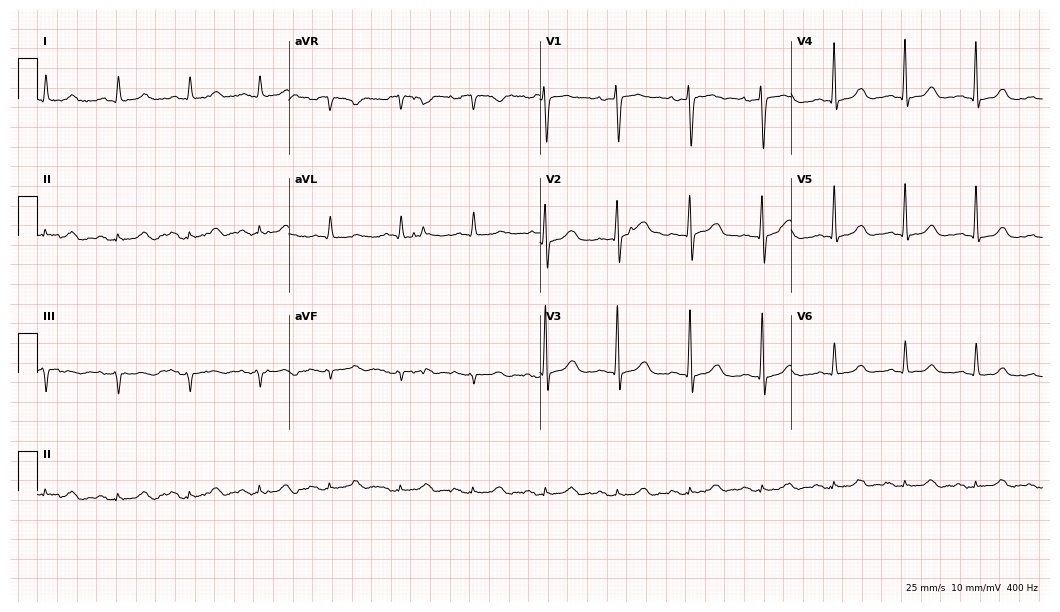
12-lead ECG from a male patient, 67 years old. Screened for six findings — first-degree AV block, right bundle branch block, left bundle branch block, sinus bradycardia, atrial fibrillation, sinus tachycardia — none is recorded. Other findings, if any, are not listed.